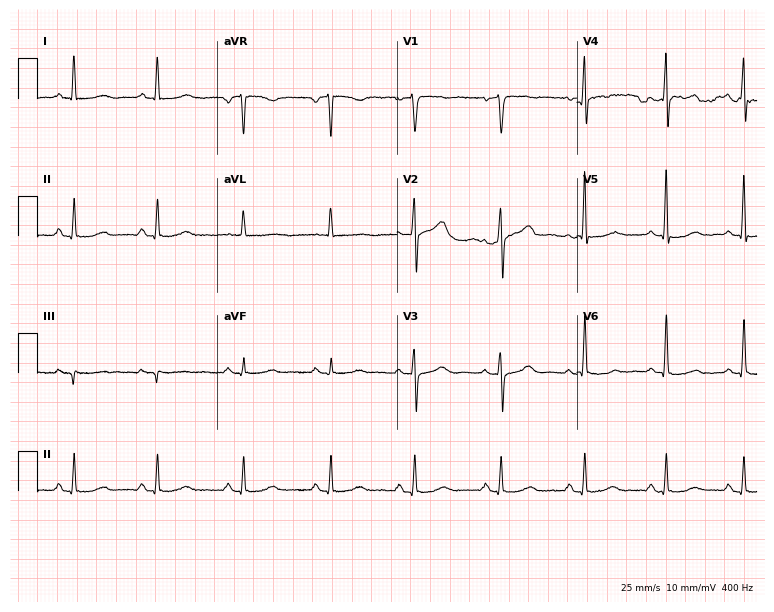
Standard 12-lead ECG recorded from a female patient, 64 years old. Read as a normal ECG.